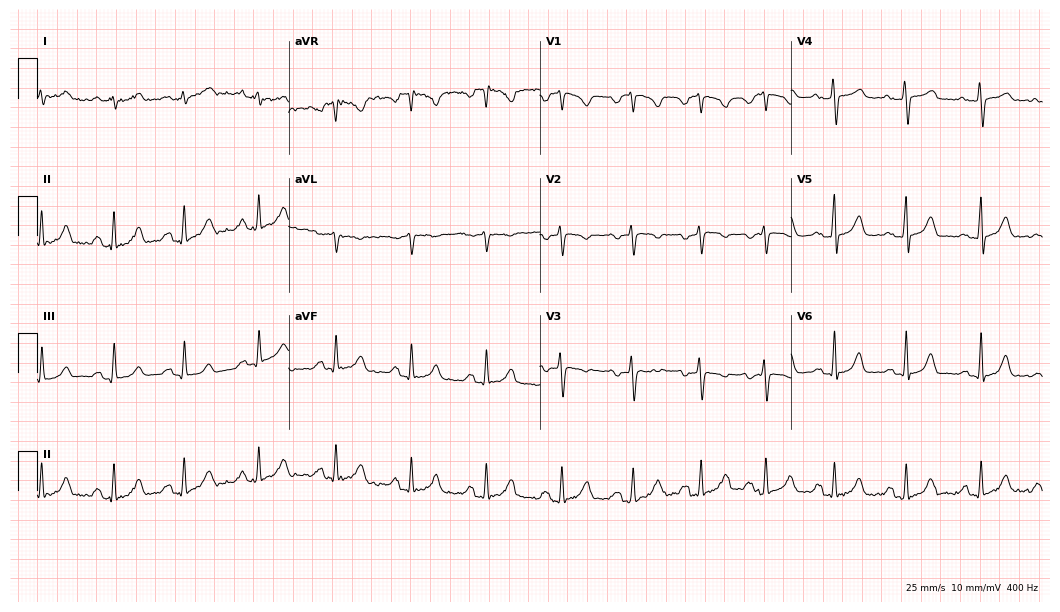
Standard 12-lead ECG recorded from a female, 36 years old (10.2-second recording at 400 Hz). None of these six findings is recorded: first-degree AV block, right bundle branch block (RBBB), left bundle branch block (LBBB), sinus bradycardia, atrial fibrillation (AF), sinus tachycardia.